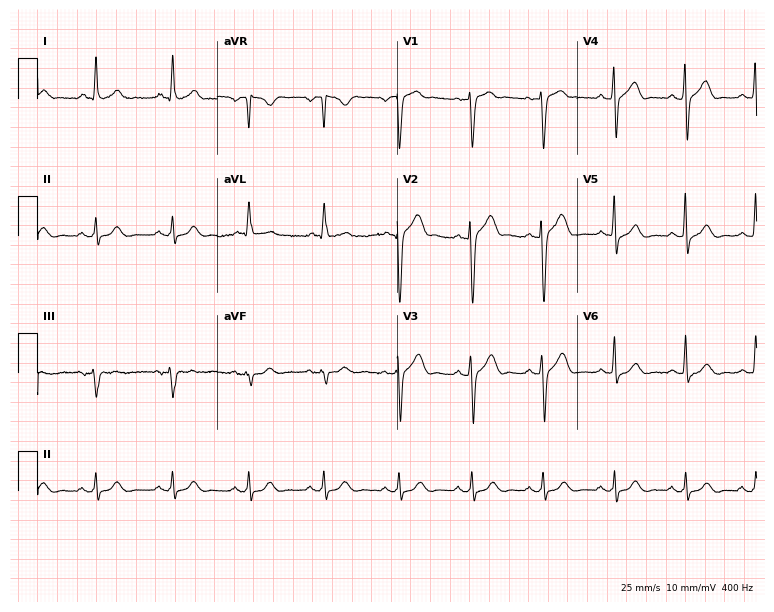
Resting 12-lead electrocardiogram. Patient: a 62-year-old man. Read as a normal ECG.